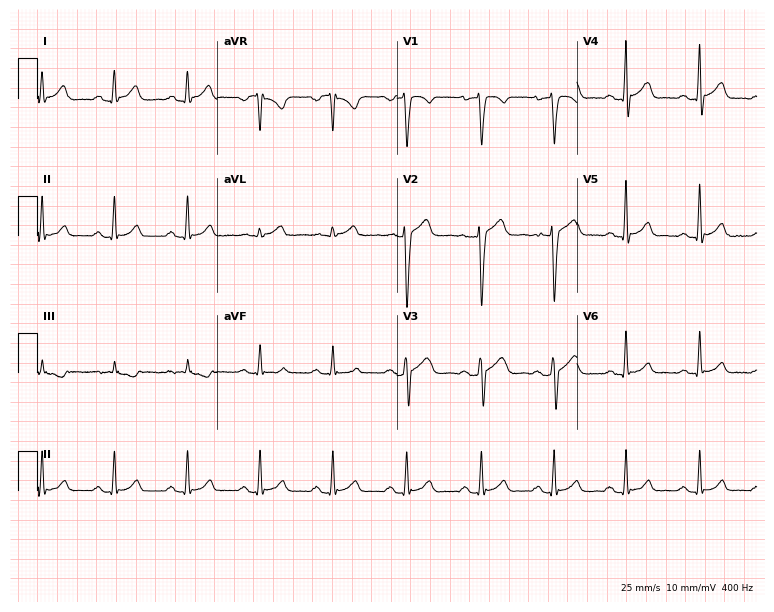
ECG — a male, 32 years old. Labelled as a normal ECG.